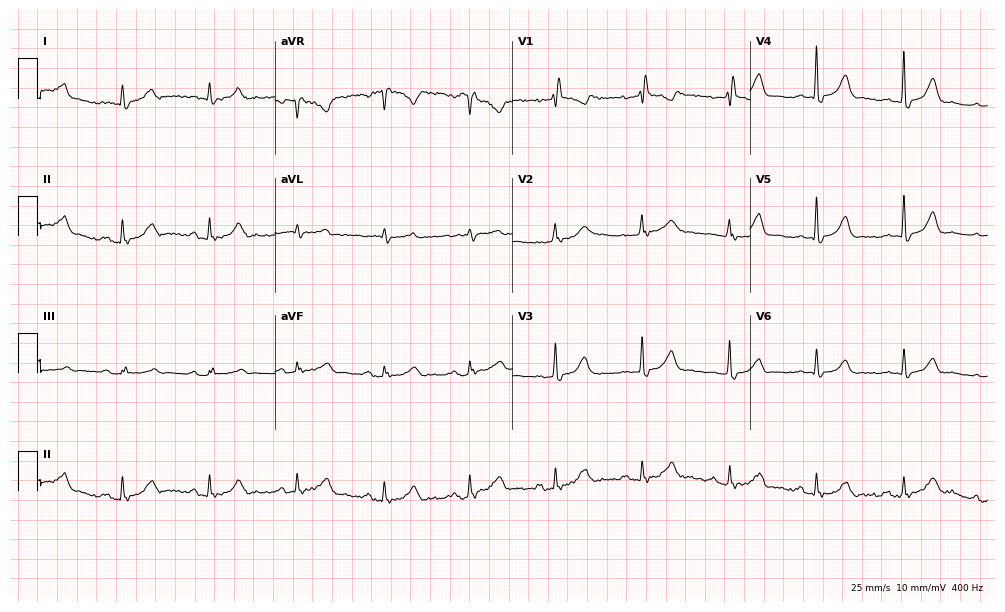
Standard 12-lead ECG recorded from a male, 73 years old (9.7-second recording at 400 Hz). None of these six findings is recorded: first-degree AV block, right bundle branch block, left bundle branch block, sinus bradycardia, atrial fibrillation, sinus tachycardia. Only these six findings were labelled.